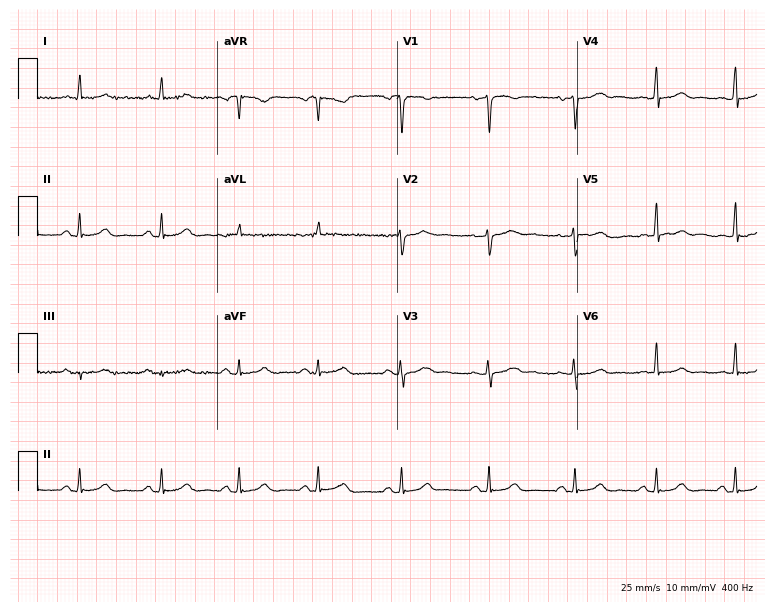
Electrocardiogram (7.3-second recording at 400 Hz), a woman, 48 years old. Overall reading on record: normal ECG.